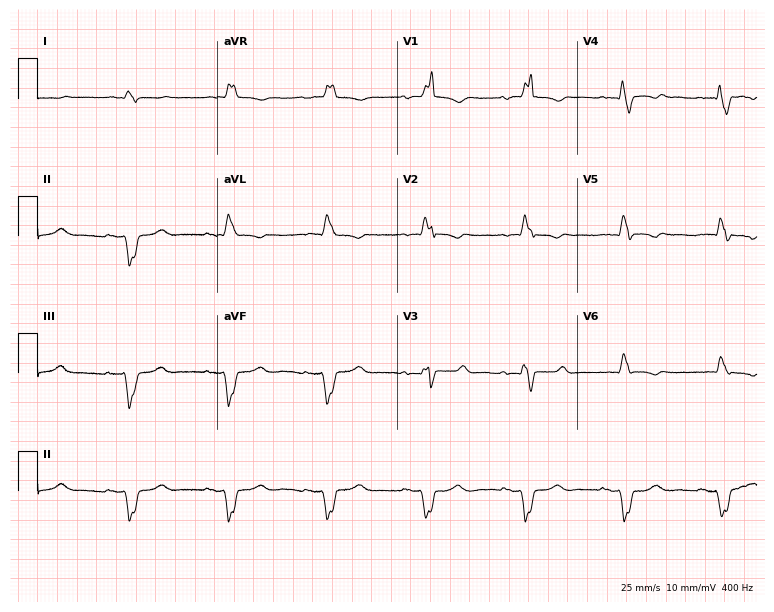
12-lead ECG from a male, 59 years old. Findings include right bundle branch block.